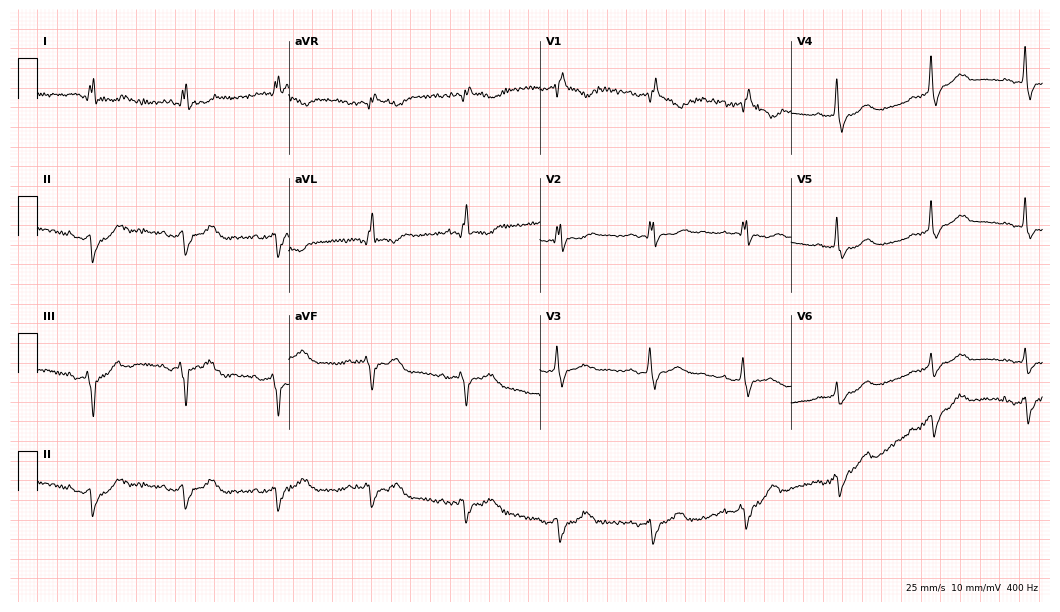
12-lead ECG (10.2-second recording at 400 Hz) from a female patient, 73 years old. Findings include right bundle branch block.